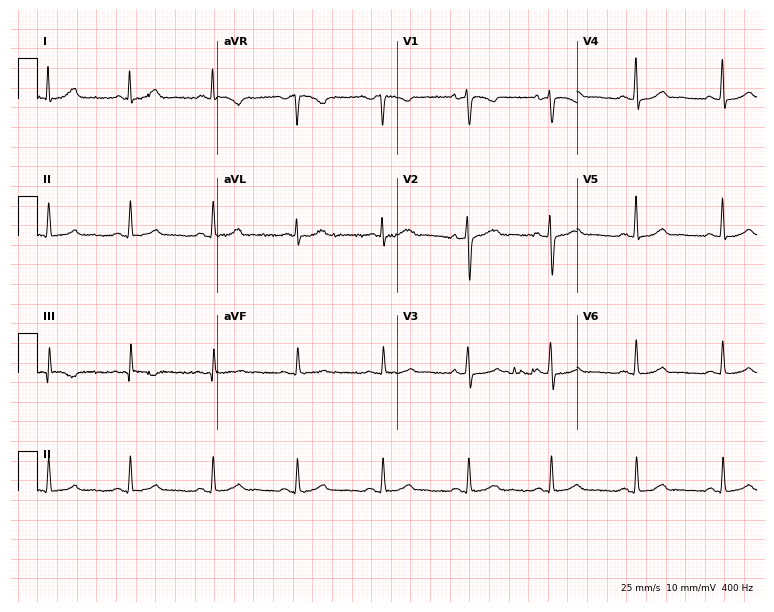
12-lead ECG from a woman, 54 years old. Screened for six findings — first-degree AV block, right bundle branch block, left bundle branch block, sinus bradycardia, atrial fibrillation, sinus tachycardia — none is recorded.